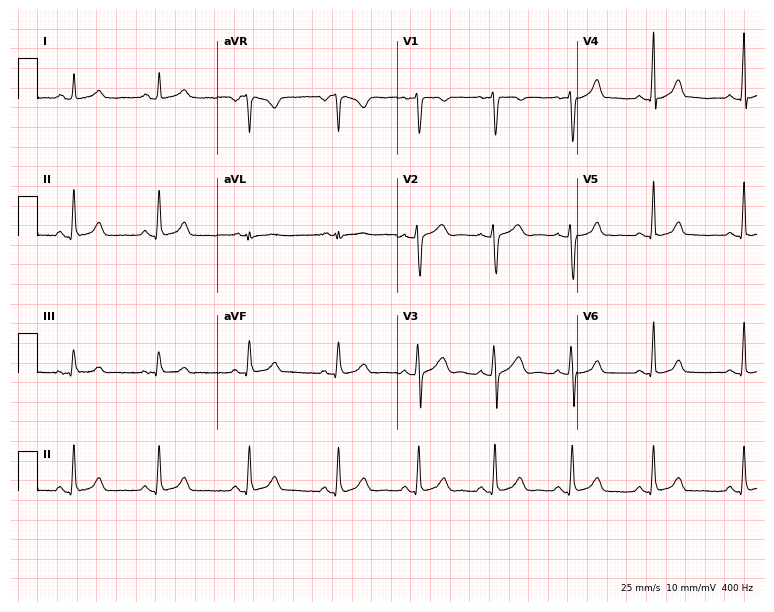
Electrocardiogram (7.3-second recording at 400 Hz), a 29-year-old female. Overall reading on record: normal ECG.